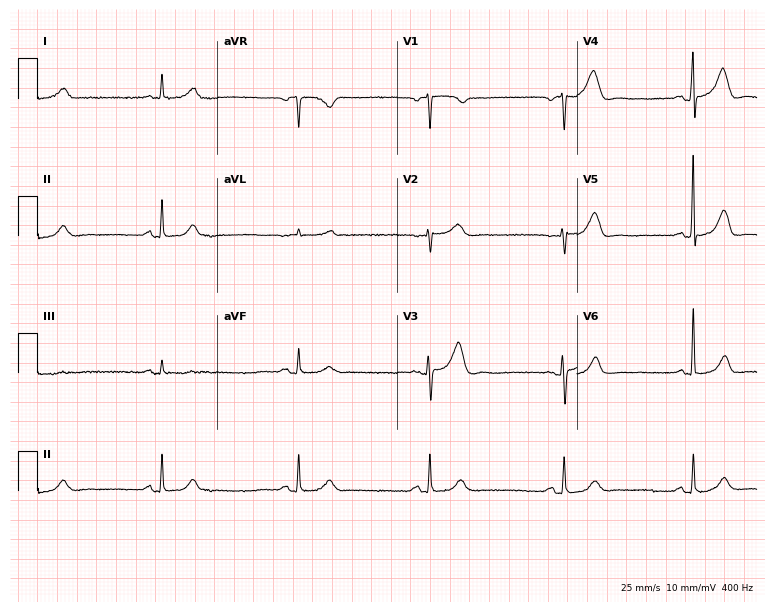
ECG (7.3-second recording at 400 Hz) — a 78-year-old female patient. Findings include sinus bradycardia (a sinus rate of 50 beats per minute or less).